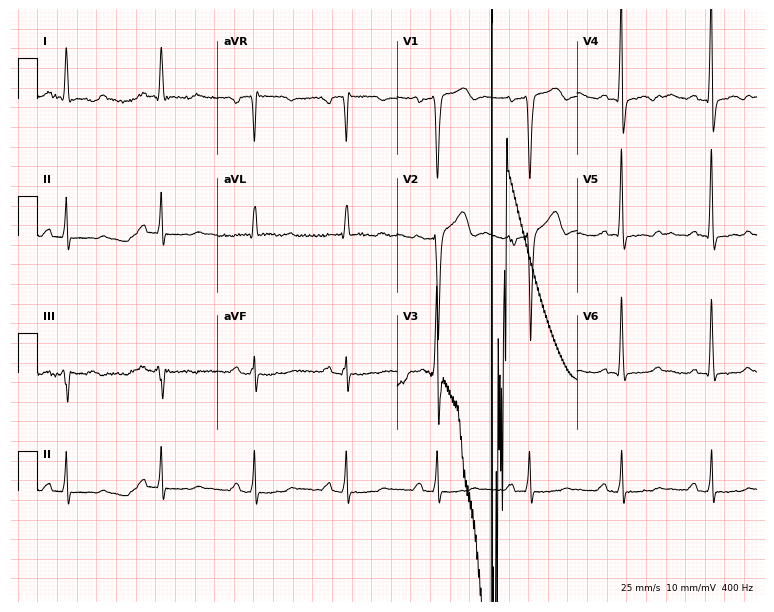
Resting 12-lead electrocardiogram. Patient: a 48-year-old man. None of these six findings is recorded: first-degree AV block, right bundle branch block (RBBB), left bundle branch block (LBBB), sinus bradycardia, atrial fibrillation (AF), sinus tachycardia.